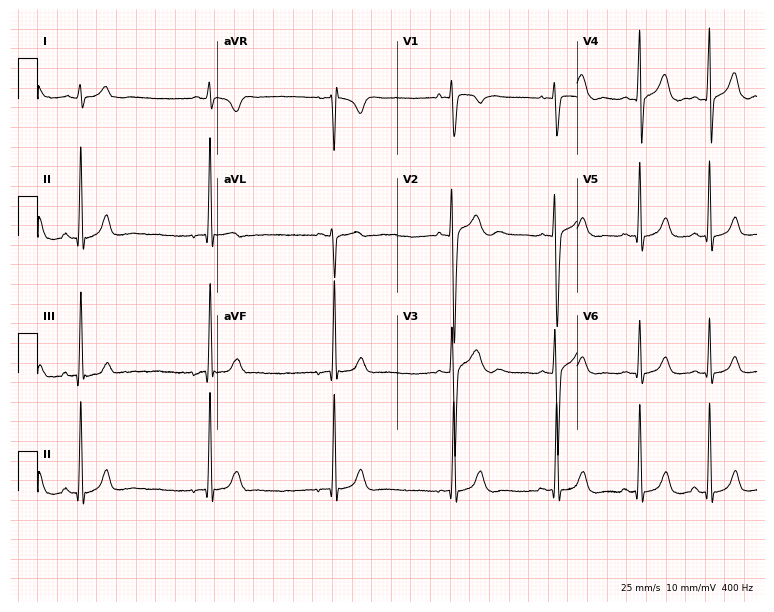
Resting 12-lead electrocardiogram (7.3-second recording at 400 Hz). Patient: a man, 19 years old. Read as a normal ECG.